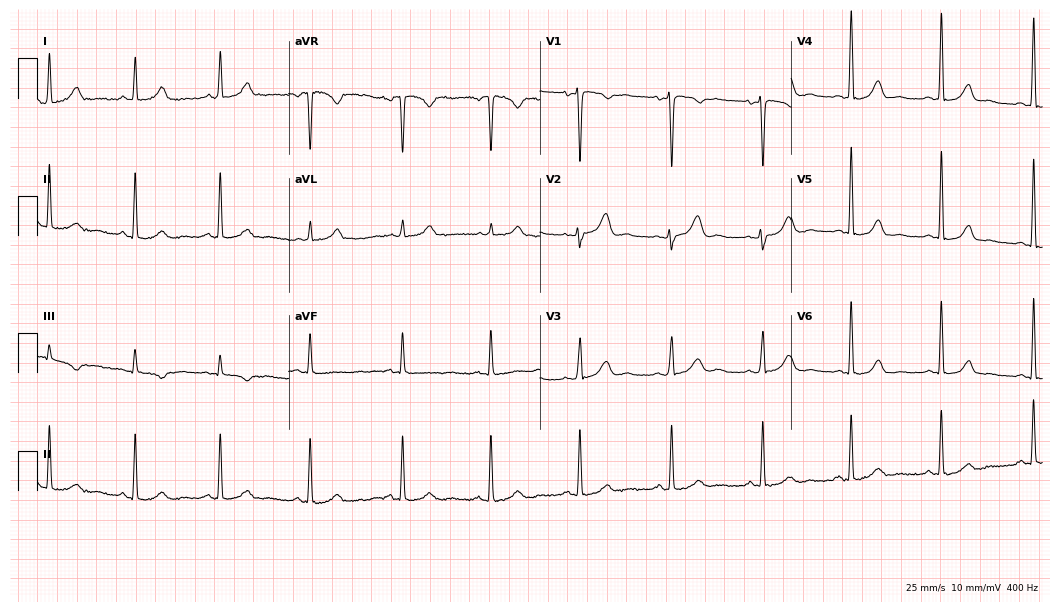
Standard 12-lead ECG recorded from a female, 40 years old (10.2-second recording at 400 Hz). Read as a normal ECG.